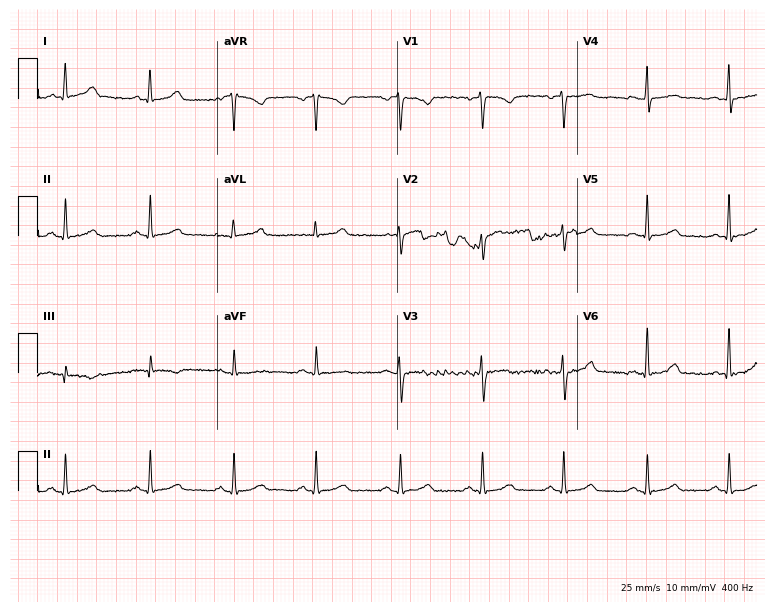
12-lead ECG from a 40-year-old female patient (7.3-second recording at 400 Hz). No first-degree AV block, right bundle branch block (RBBB), left bundle branch block (LBBB), sinus bradycardia, atrial fibrillation (AF) or sinus tachycardia recorded for this tracing.